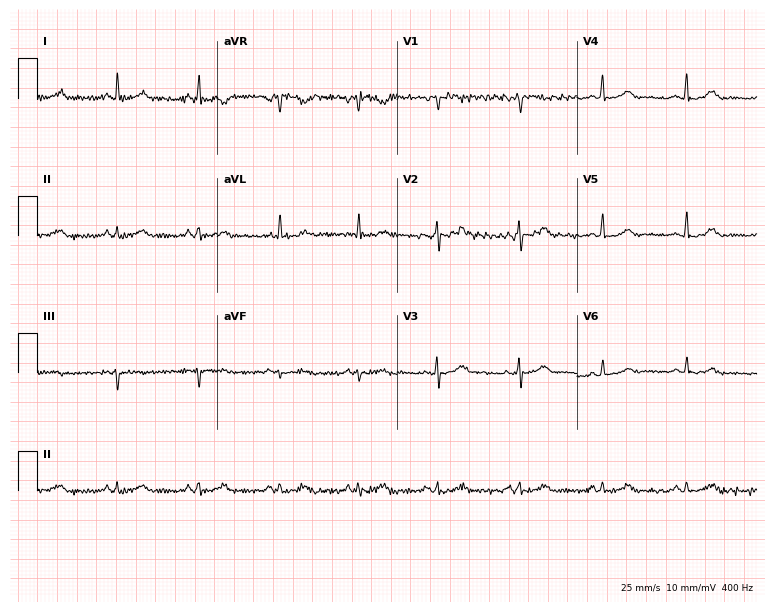
Standard 12-lead ECG recorded from a female patient, 42 years old. None of these six findings is recorded: first-degree AV block, right bundle branch block (RBBB), left bundle branch block (LBBB), sinus bradycardia, atrial fibrillation (AF), sinus tachycardia. Only these six findings were labelled.